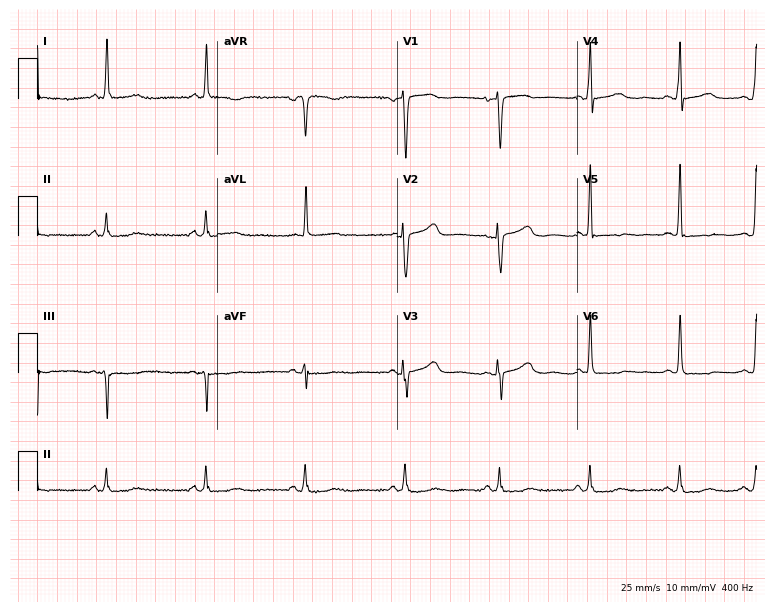
Resting 12-lead electrocardiogram (7.3-second recording at 400 Hz). Patient: a woman, 68 years old. None of these six findings is recorded: first-degree AV block, right bundle branch block, left bundle branch block, sinus bradycardia, atrial fibrillation, sinus tachycardia.